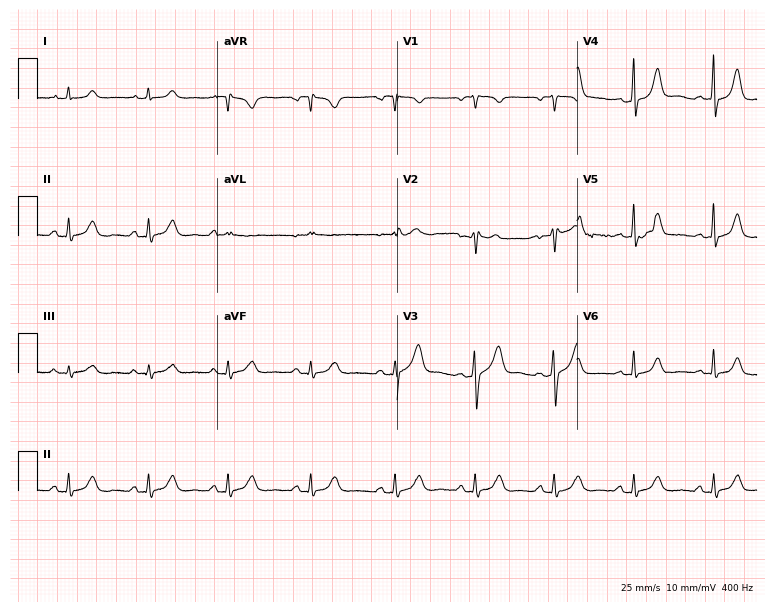
Resting 12-lead electrocardiogram (7.3-second recording at 400 Hz). Patient: a 36-year-old female. Read as a normal ECG.